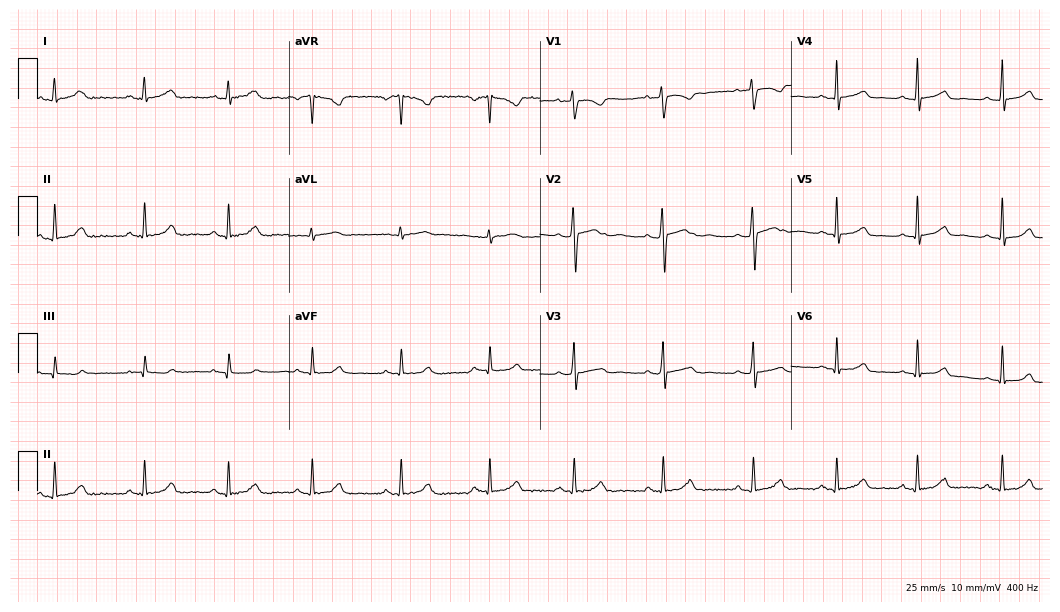
Resting 12-lead electrocardiogram (10.2-second recording at 400 Hz). Patient: a 28-year-old female. Read as a normal ECG.